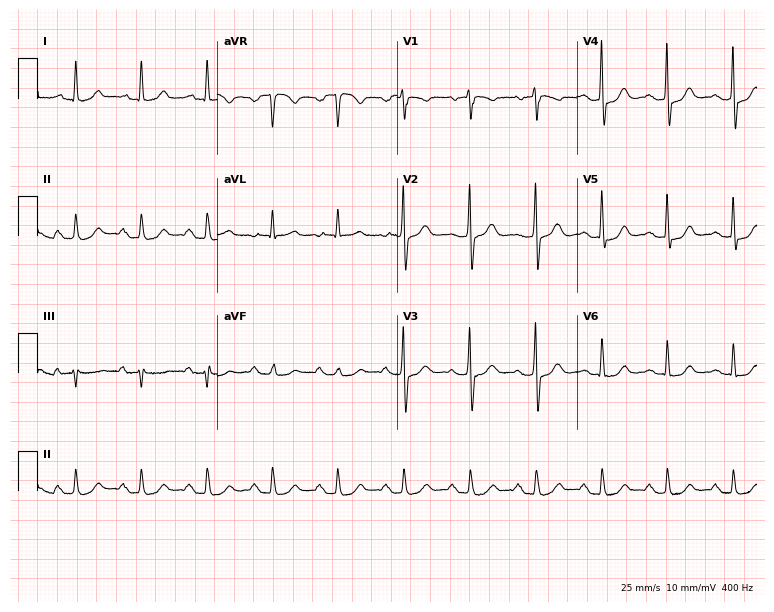
12-lead ECG from a man, 77 years old. Screened for six findings — first-degree AV block, right bundle branch block, left bundle branch block, sinus bradycardia, atrial fibrillation, sinus tachycardia — none is recorded.